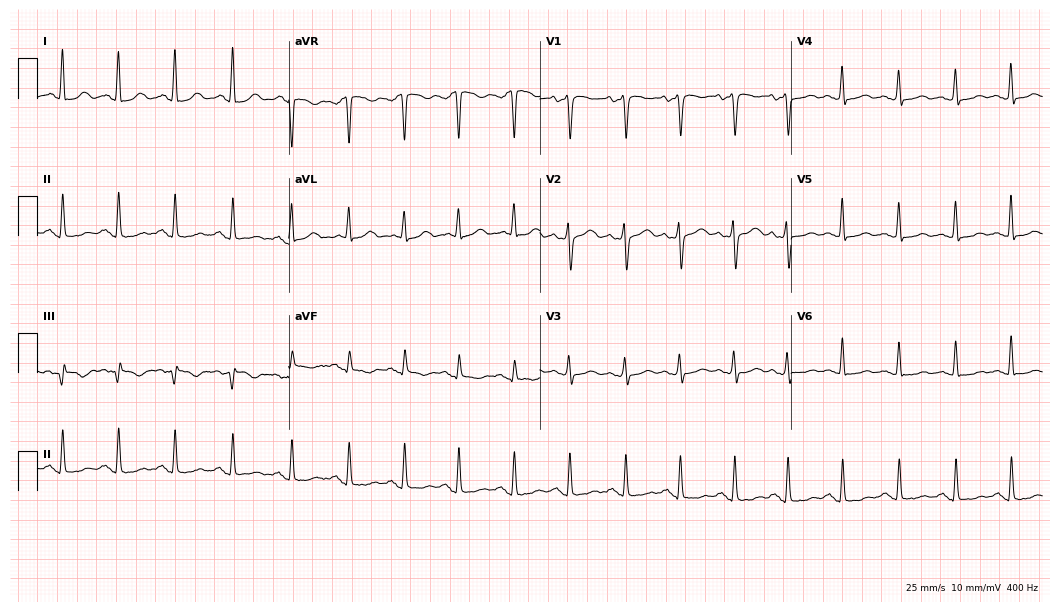
Electrocardiogram (10.2-second recording at 400 Hz), a female, 28 years old. Of the six screened findings (first-degree AV block, right bundle branch block, left bundle branch block, sinus bradycardia, atrial fibrillation, sinus tachycardia), none is recorded.